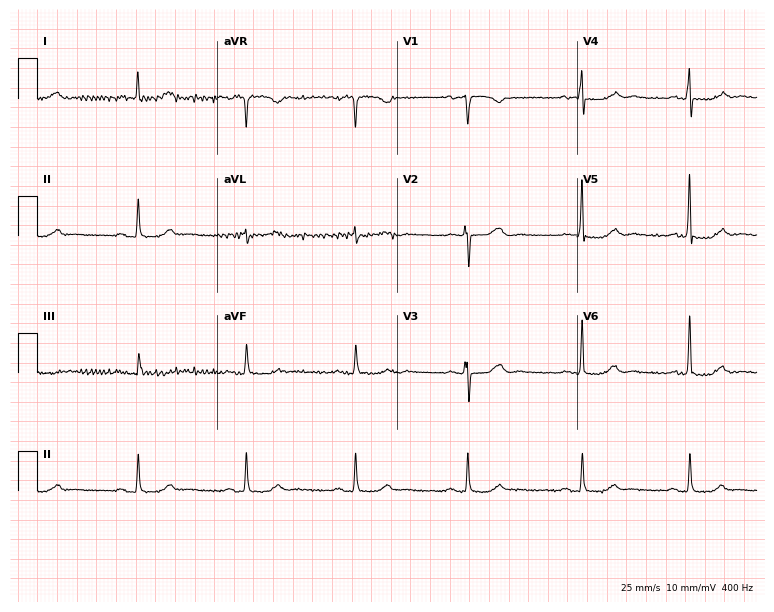
12-lead ECG from a woman, 75 years old. Recorded interpretation: within normal limits.